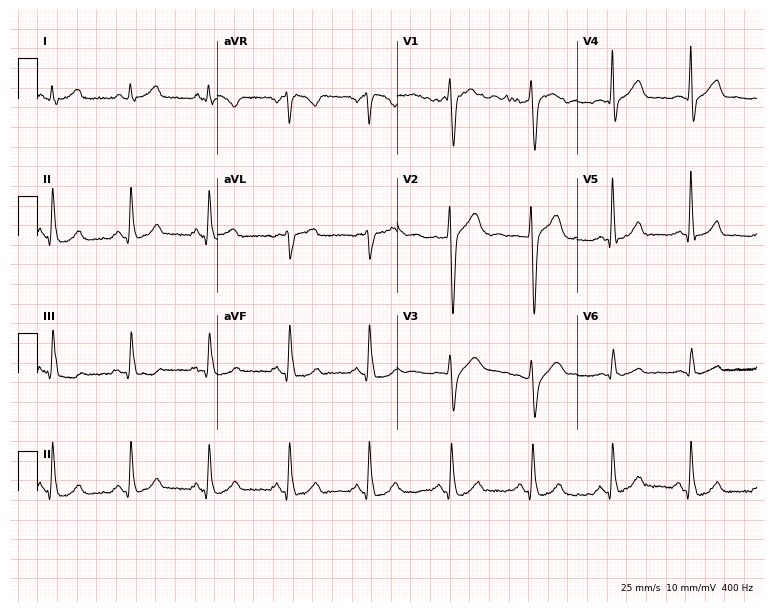
Resting 12-lead electrocardiogram (7.3-second recording at 400 Hz). Patient: a man, 51 years old. None of these six findings is recorded: first-degree AV block, right bundle branch block, left bundle branch block, sinus bradycardia, atrial fibrillation, sinus tachycardia.